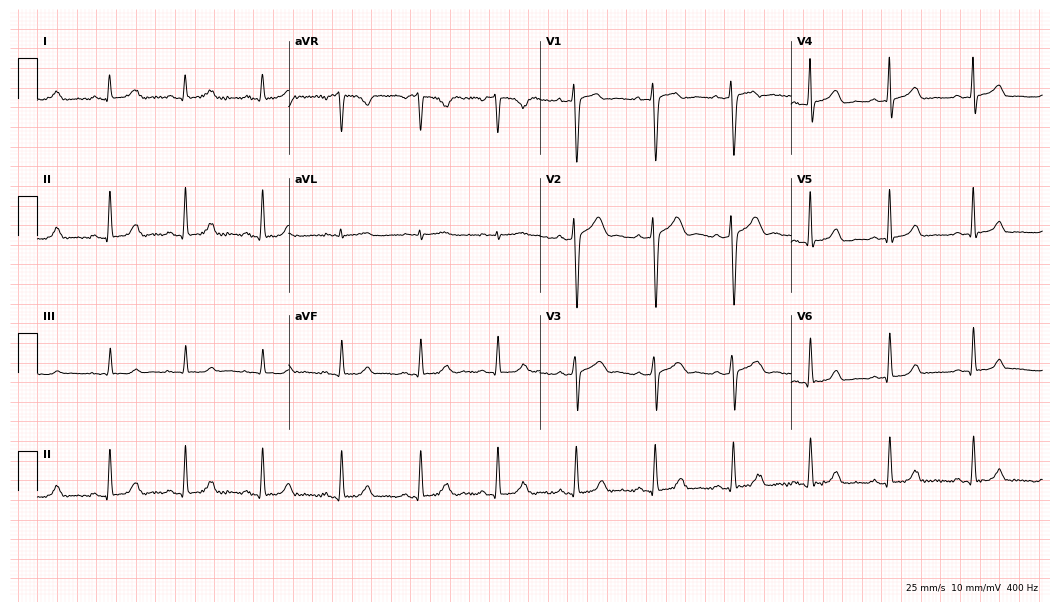
12-lead ECG from a female, 34 years old. Recorded interpretation: within normal limits.